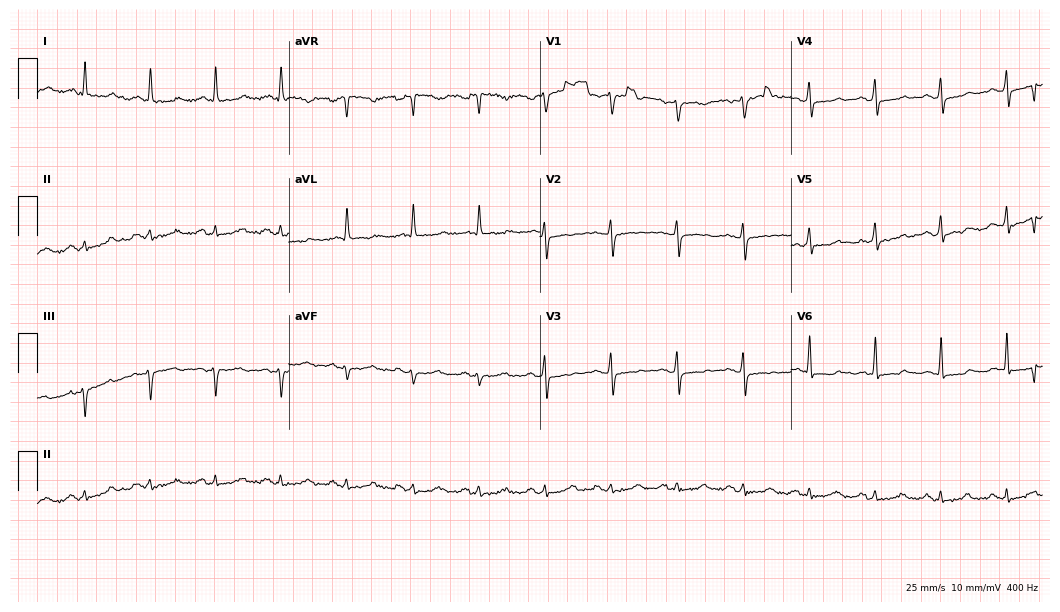
Electrocardiogram, a 63-year-old female. Of the six screened findings (first-degree AV block, right bundle branch block (RBBB), left bundle branch block (LBBB), sinus bradycardia, atrial fibrillation (AF), sinus tachycardia), none is recorded.